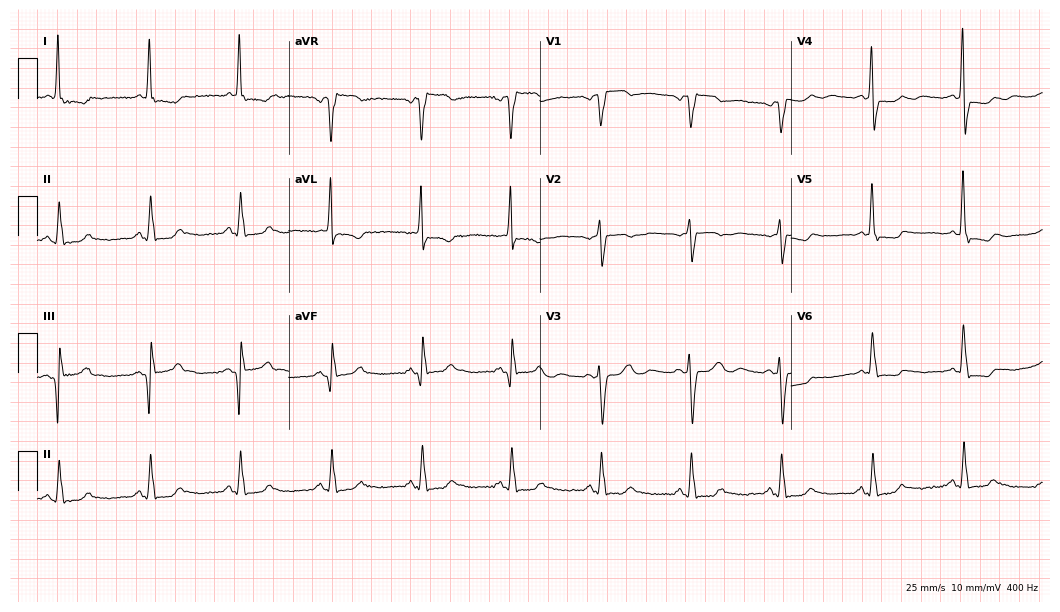
Resting 12-lead electrocardiogram. Patient: a female, 77 years old. None of these six findings is recorded: first-degree AV block, right bundle branch block, left bundle branch block, sinus bradycardia, atrial fibrillation, sinus tachycardia.